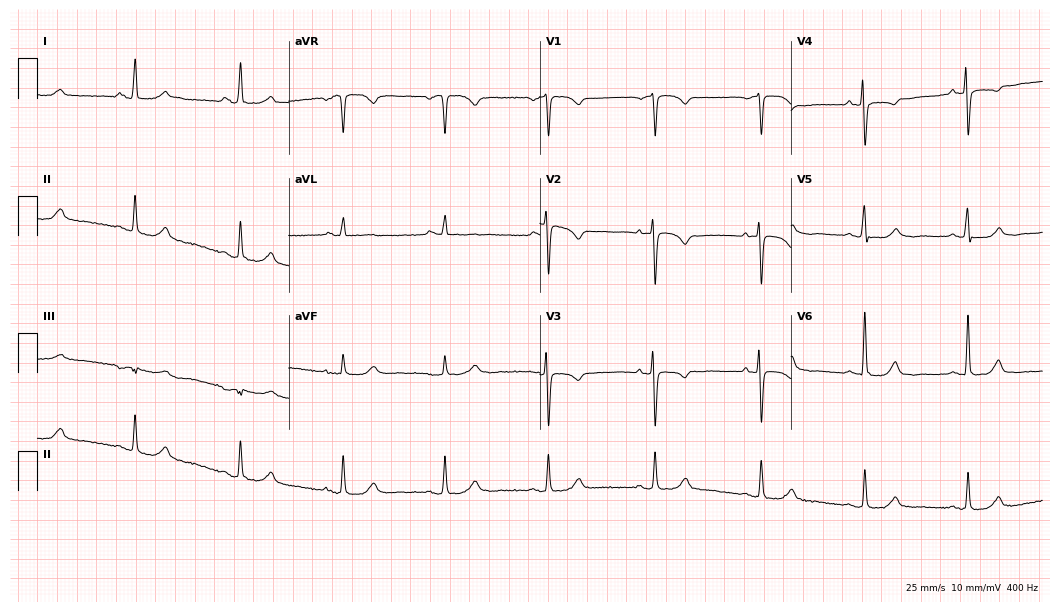
Standard 12-lead ECG recorded from a 71-year-old female patient. None of these six findings is recorded: first-degree AV block, right bundle branch block, left bundle branch block, sinus bradycardia, atrial fibrillation, sinus tachycardia. Only these six findings were labelled.